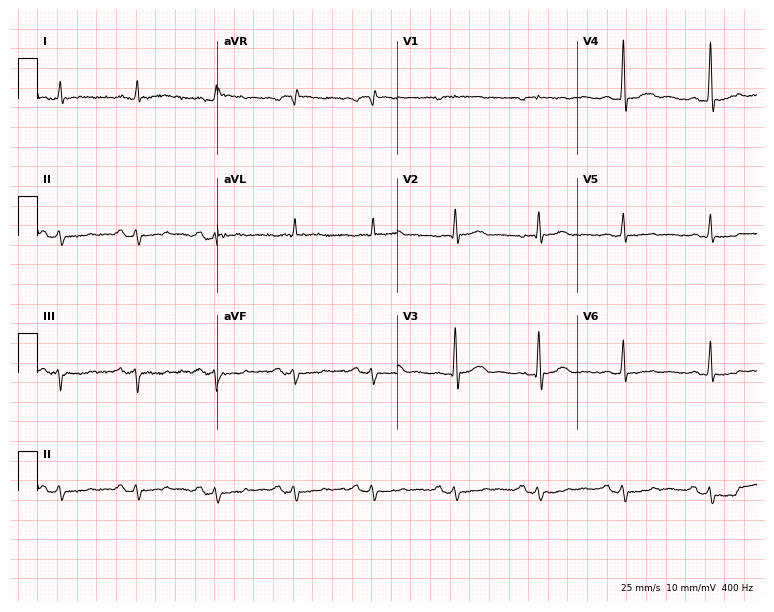
Standard 12-lead ECG recorded from an 83-year-old male. None of these six findings is recorded: first-degree AV block, right bundle branch block (RBBB), left bundle branch block (LBBB), sinus bradycardia, atrial fibrillation (AF), sinus tachycardia.